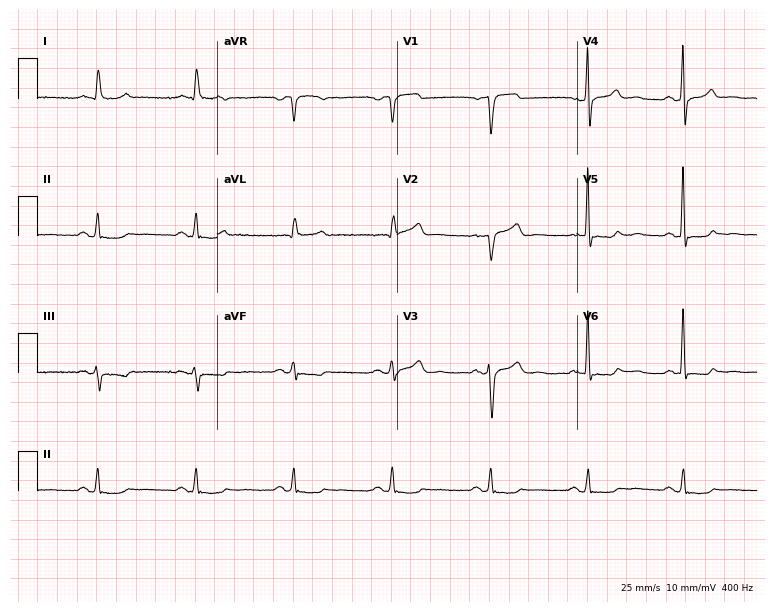
ECG (7.3-second recording at 400 Hz) — a 62-year-old man. Labelled as a normal ECG.